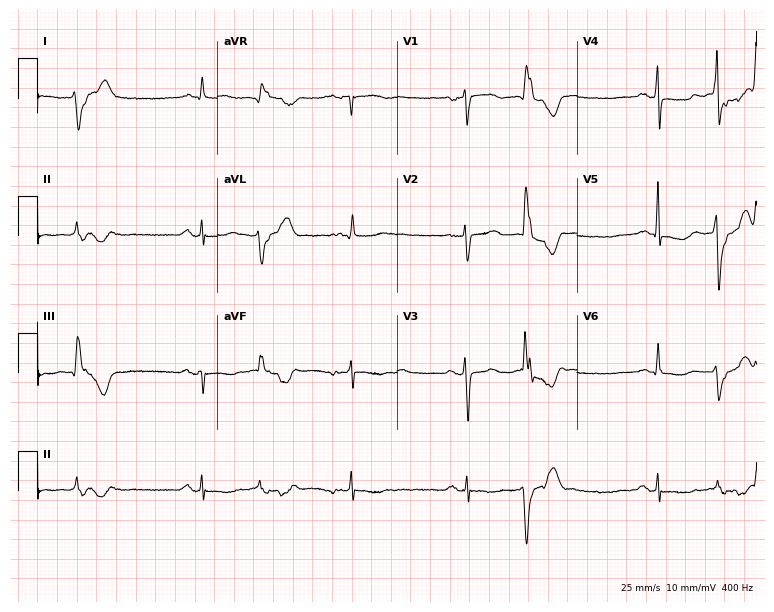
ECG — a woman, 69 years old. Labelled as a normal ECG.